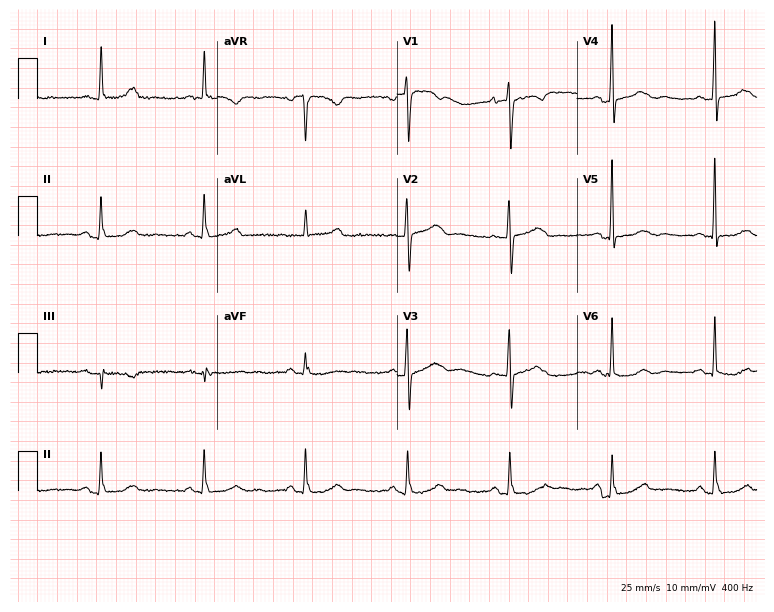
Standard 12-lead ECG recorded from a 76-year-old female patient. Read as a normal ECG.